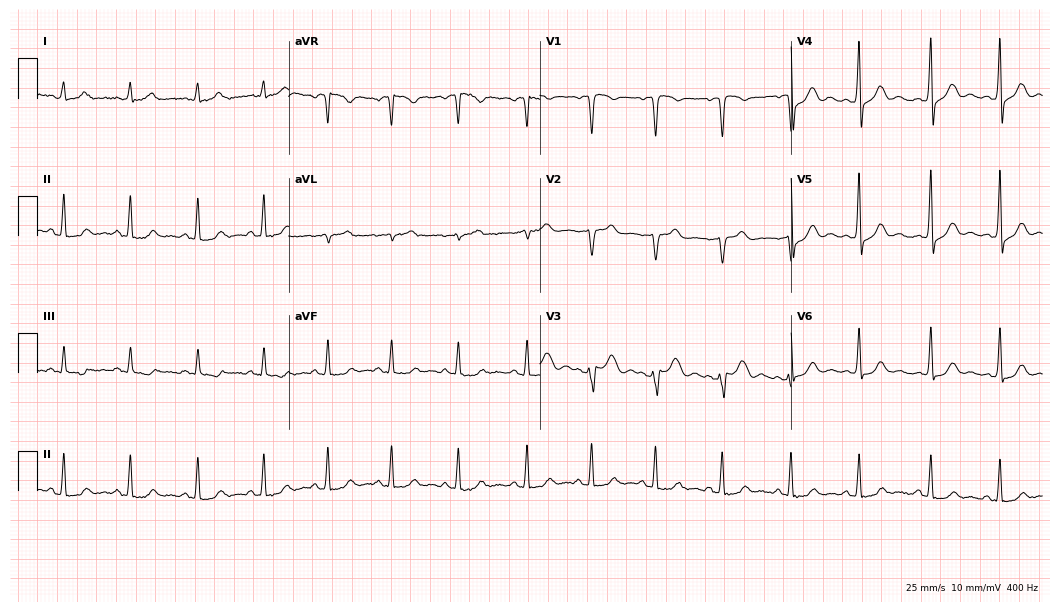
Electrocardiogram (10.2-second recording at 400 Hz), a 46-year-old female patient. Overall reading on record: normal ECG.